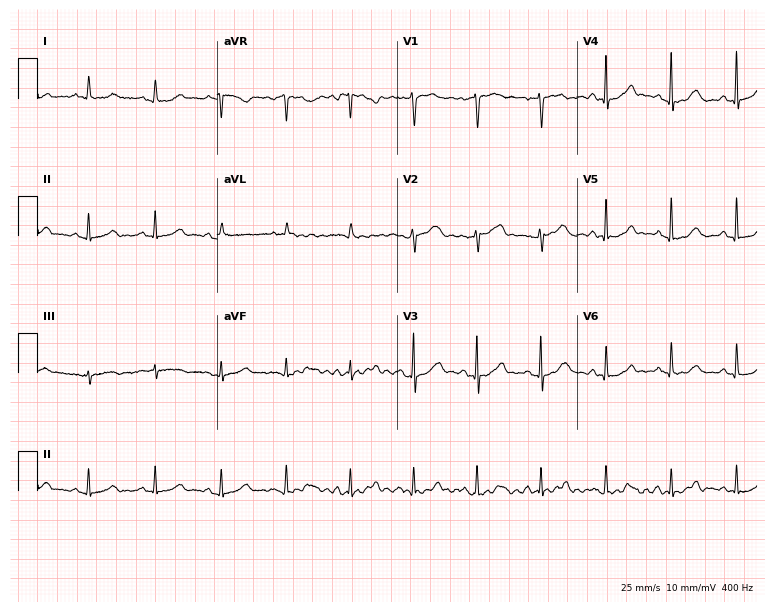
ECG (7.3-second recording at 400 Hz) — a 55-year-old female. Screened for six findings — first-degree AV block, right bundle branch block (RBBB), left bundle branch block (LBBB), sinus bradycardia, atrial fibrillation (AF), sinus tachycardia — none is recorded. Only these six findings were labelled.